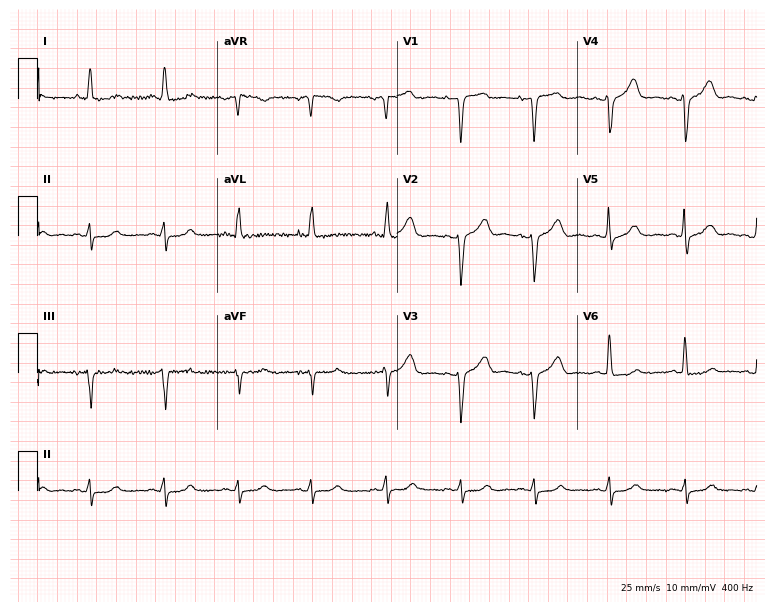
12-lead ECG from a female, 79 years old. No first-degree AV block, right bundle branch block, left bundle branch block, sinus bradycardia, atrial fibrillation or sinus tachycardia recorded for this tracing.